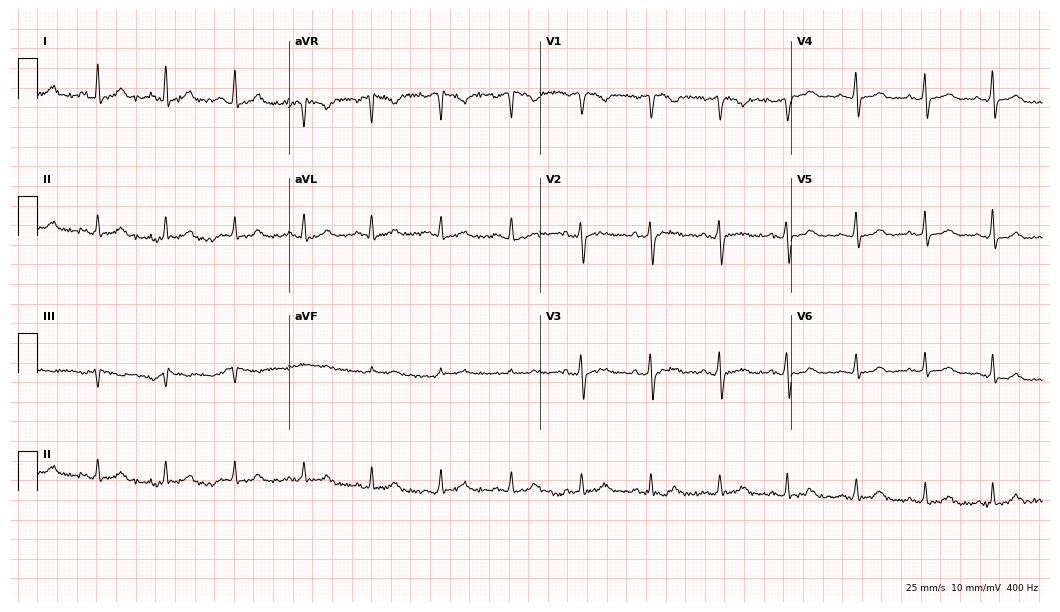
ECG (10.2-second recording at 400 Hz) — a female, 44 years old. Labelled as a normal ECG.